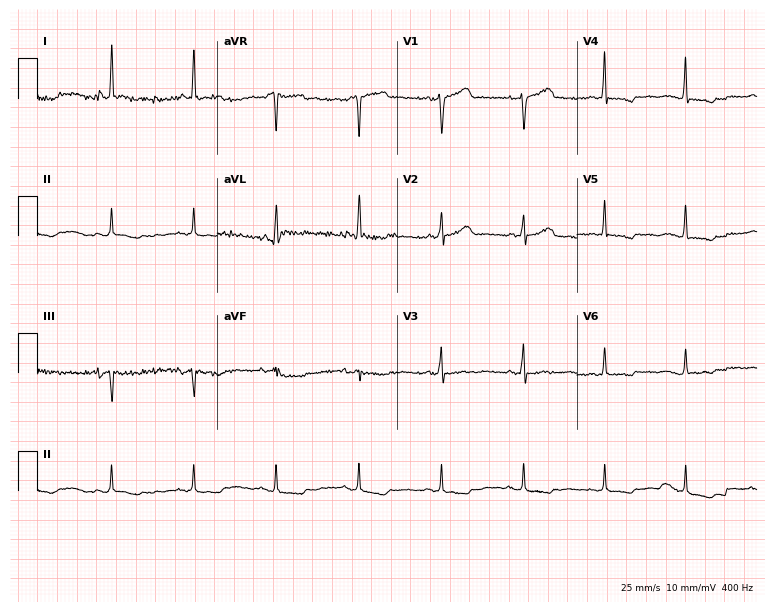
Standard 12-lead ECG recorded from a female patient, 55 years old. None of these six findings is recorded: first-degree AV block, right bundle branch block, left bundle branch block, sinus bradycardia, atrial fibrillation, sinus tachycardia. Only these six findings were labelled.